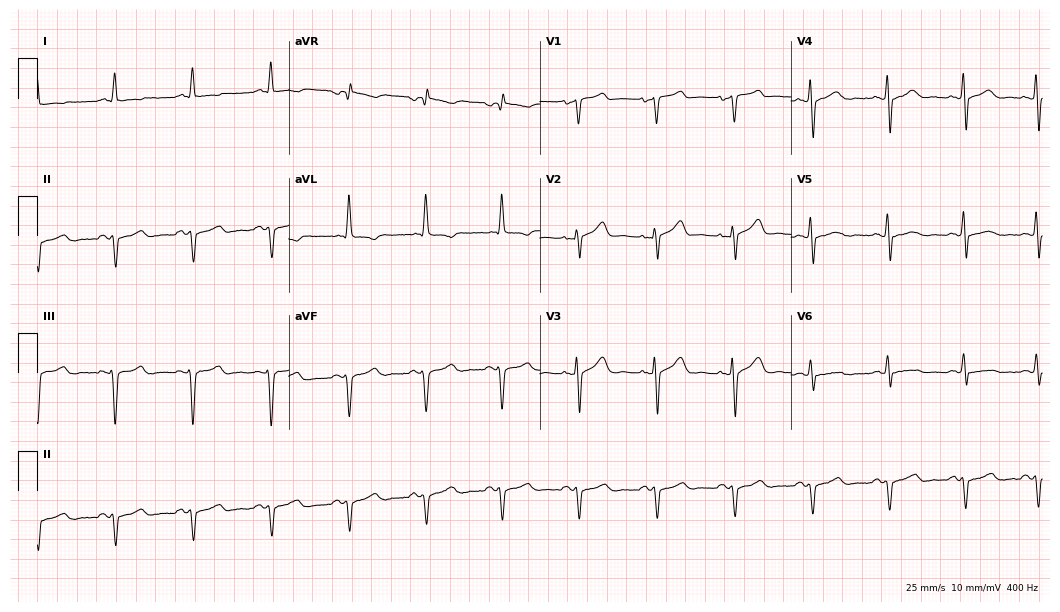
Resting 12-lead electrocardiogram. Patient: a male, 56 years old. None of these six findings is recorded: first-degree AV block, right bundle branch block (RBBB), left bundle branch block (LBBB), sinus bradycardia, atrial fibrillation (AF), sinus tachycardia.